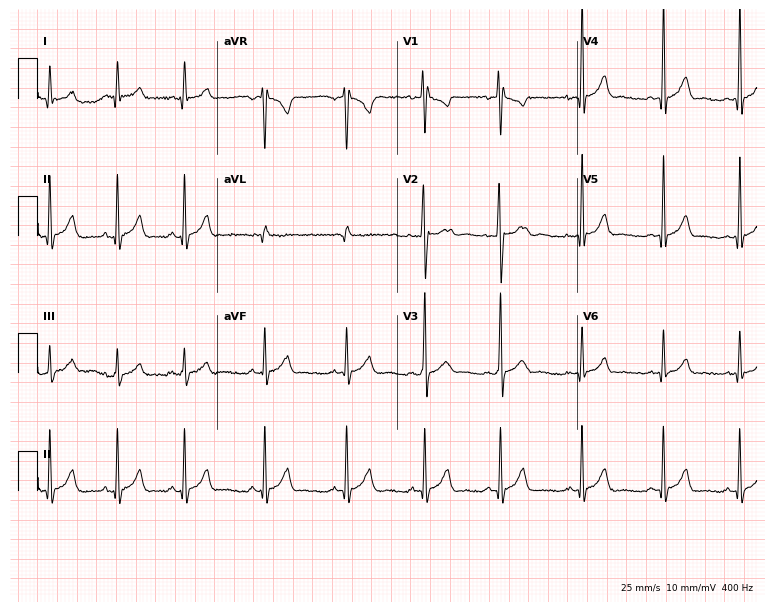
Resting 12-lead electrocardiogram (7.3-second recording at 400 Hz). Patient: an 18-year-old male. Read as a normal ECG.